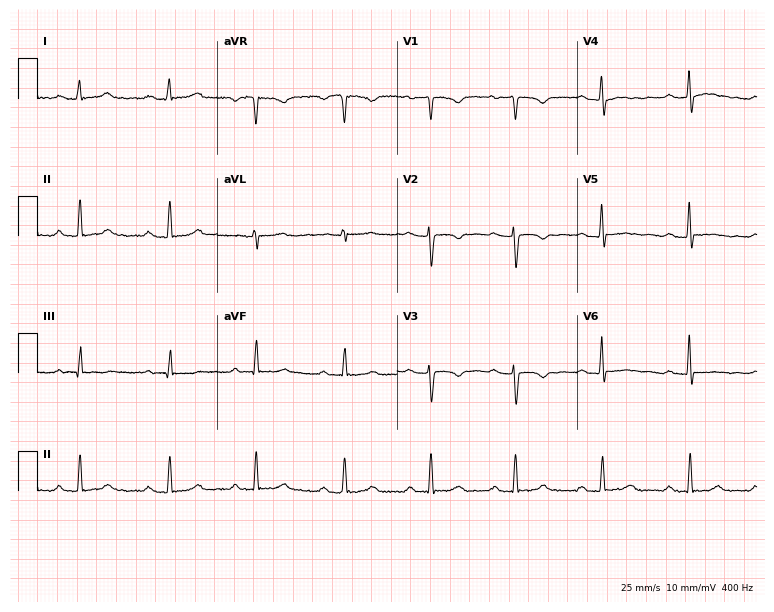
ECG — a 48-year-old female. Findings include first-degree AV block.